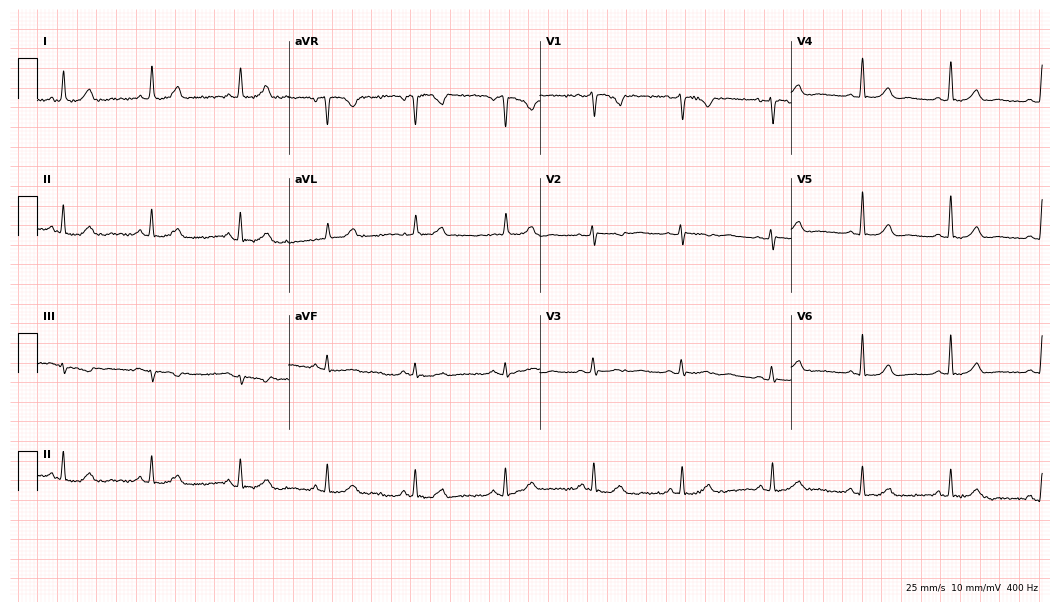
Standard 12-lead ECG recorded from a 50-year-old female patient (10.2-second recording at 400 Hz). Read as a normal ECG.